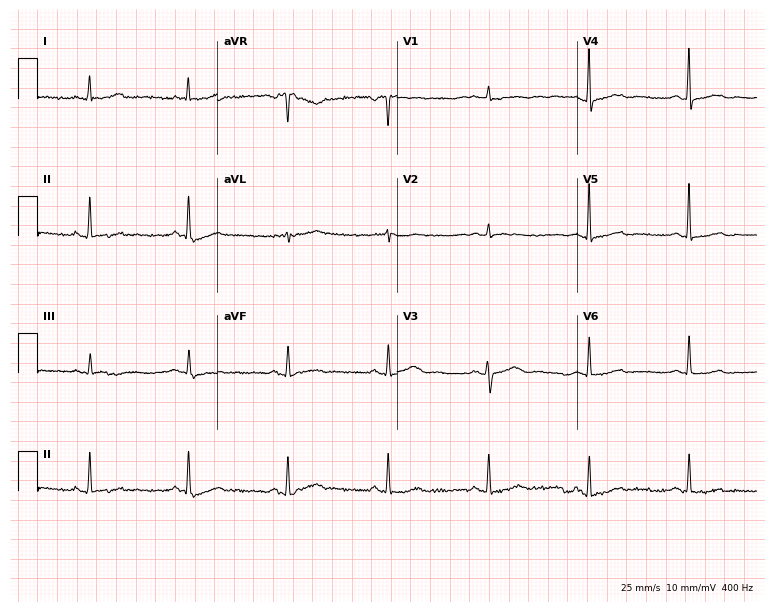
ECG (7.3-second recording at 400 Hz) — a 71-year-old female patient. Screened for six findings — first-degree AV block, right bundle branch block, left bundle branch block, sinus bradycardia, atrial fibrillation, sinus tachycardia — none is recorded.